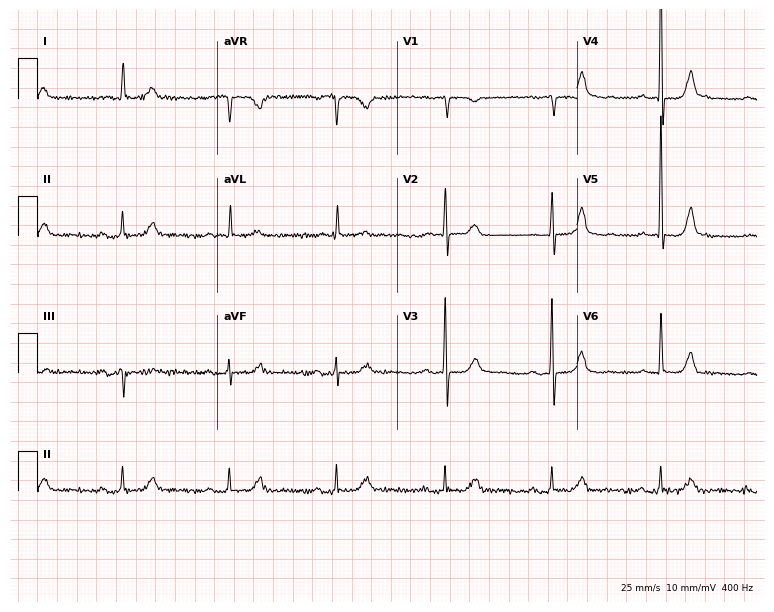
Resting 12-lead electrocardiogram (7.3-second recording at 400 Hz). Patient: a female, 82 years old. Read as a normal ECG.